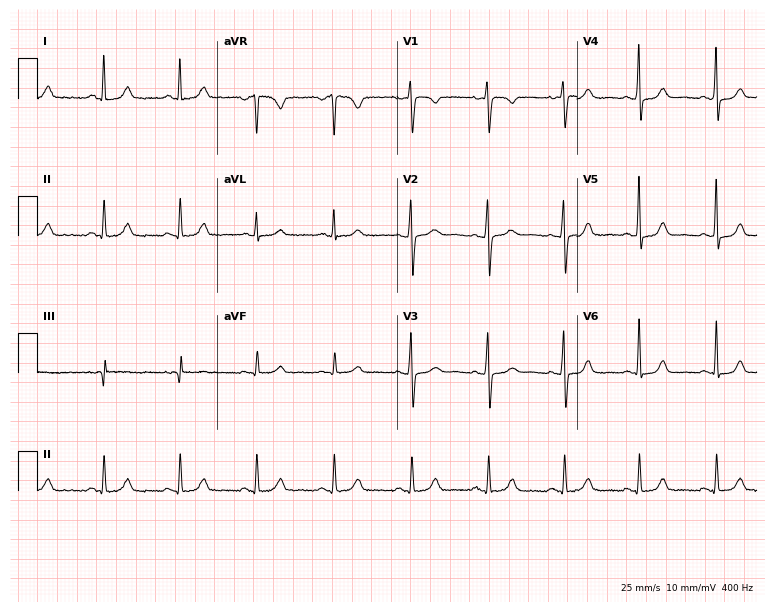
Electrocardiogram (7.3-second recording at 400 Hz), a 40-year-old woman. Overall reading on record: normal ECG.